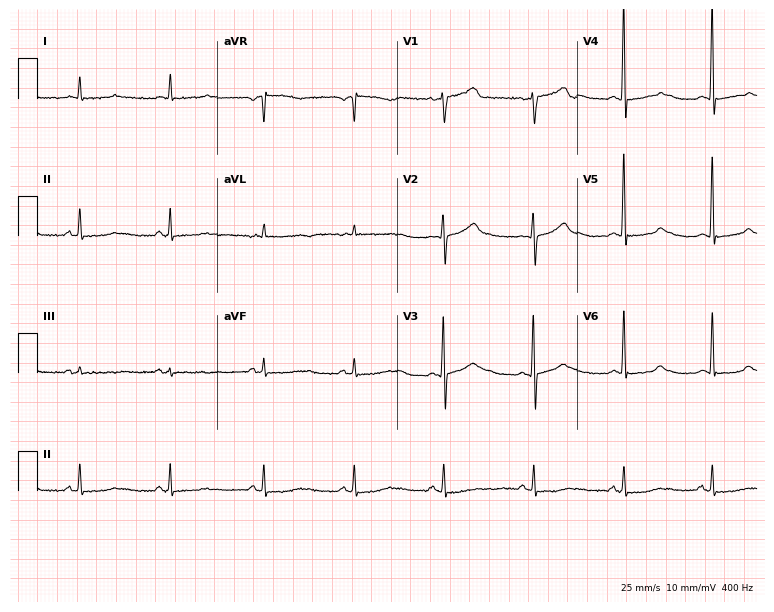
Electrocardiogram, a male, 71 years old. Of the six screened findings (first-degree AV block, right bundle branch block, left bundle branch block, sinus bradycardia, atrial fibrillation, sinus tachycardia), none is recorded.